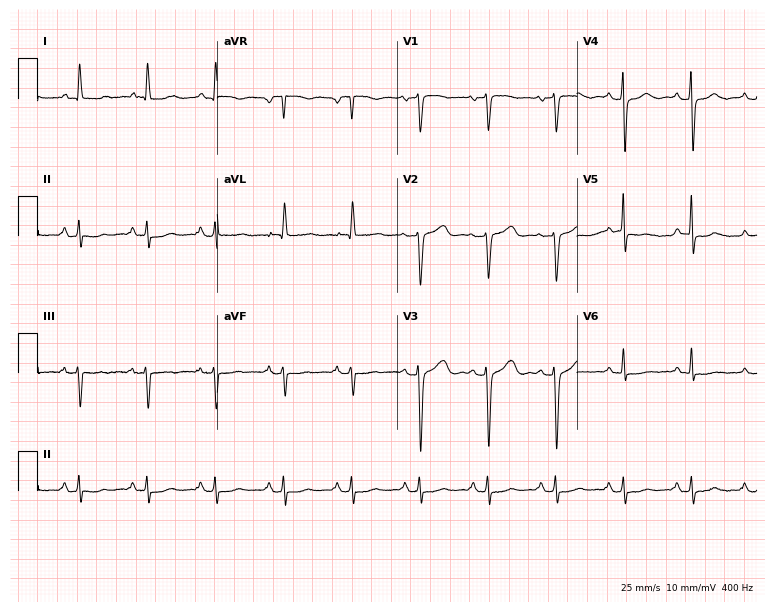
12-lead ECG (7.3-second recording at 400 Hz) from an 81-year-old female patient. Screened for six findings — first-degree AV block, right bundle branch block, left bundle branch block, sinus bradycardia, atrial fibrillation, sinus tachycardia — none is recorded.